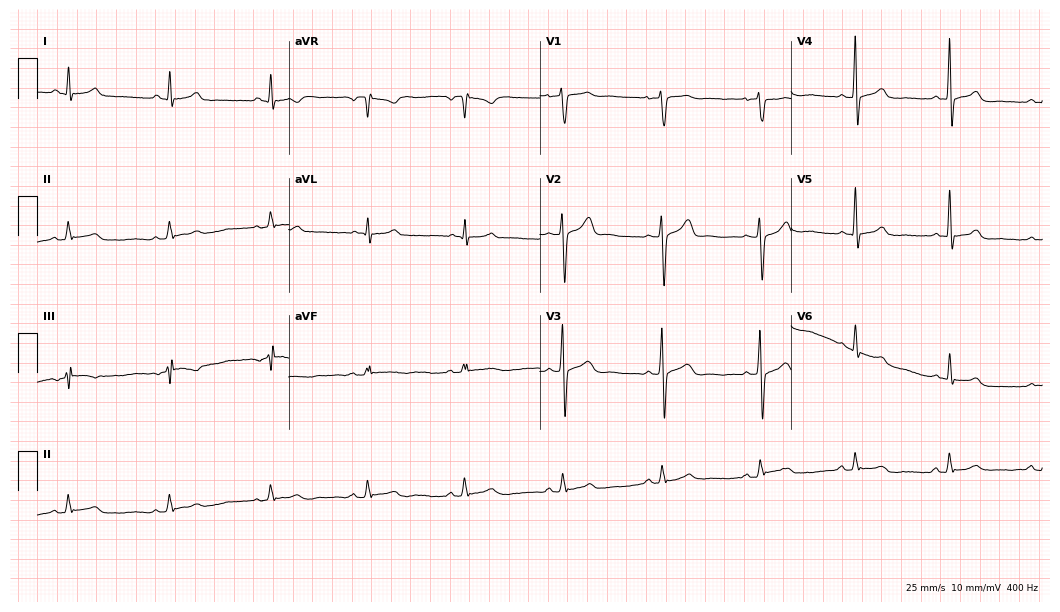
12-lead ECG (10.2-second recording at 400 Hz) from a man, 50 years old. Labelled as a normal ECG.